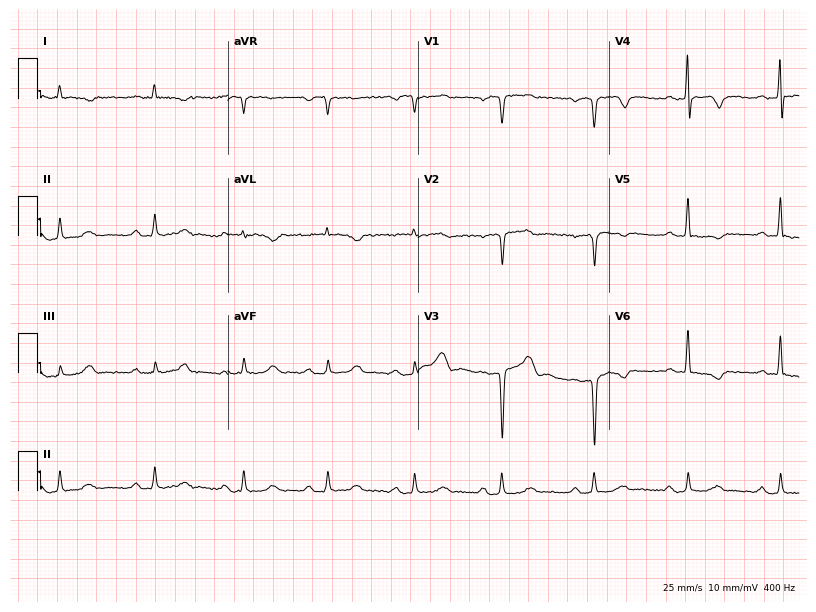
12-lead ECG from a male patient, 66 years old. Screened for six findings — first-degree AV block, right bundle branch block, left bundle branch block, sinus bradycardia, atrial fibrillation, sinus tachycardia — none is recorded.